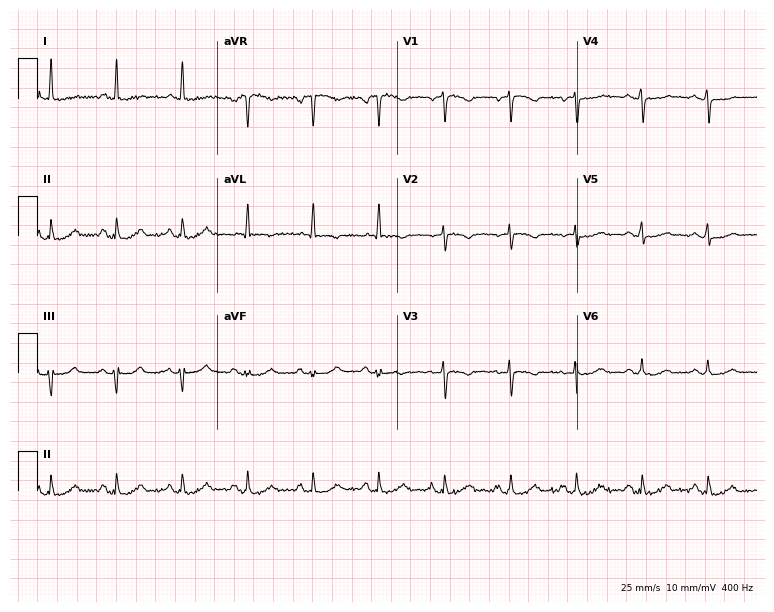
12-lead ECG from a 65-year-old female patient. Screened for six findings — first-degree AV block, right bundle branch block, left bundle branch block, sinus bradycardia, atrial fibrillation, sinus tachycardia — none is recorded. Findings outside these six are not listed.